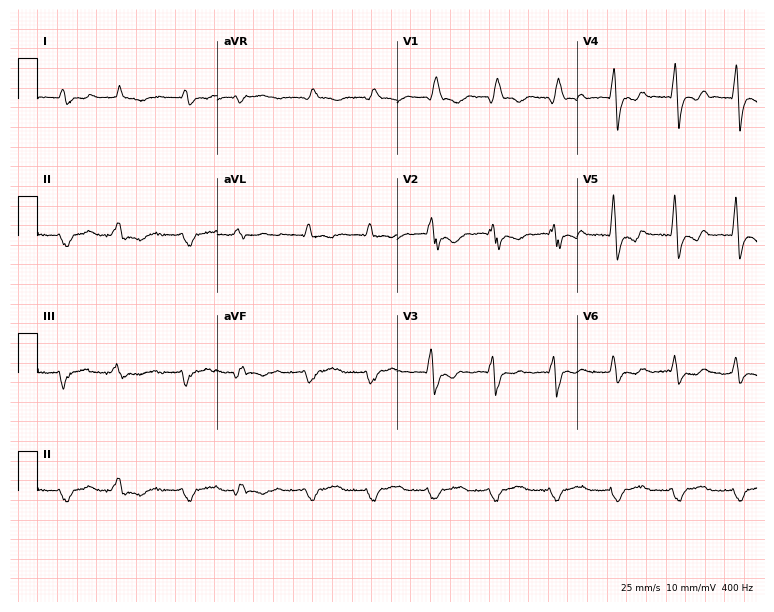
Electrocardiogram (7.3-second recording at 400 Hz), an 84-year-old woman. Interpretation includes right bundle branch block.